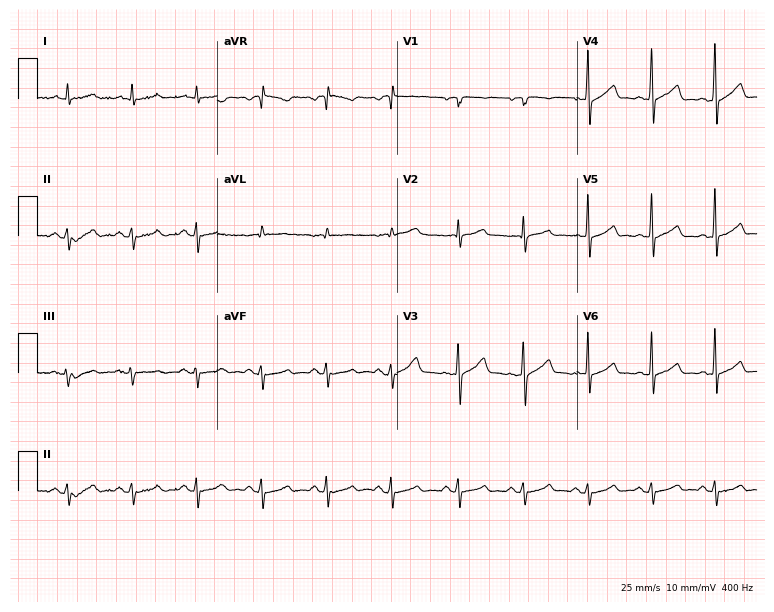
12-lead ECG from a 62-year-old man. Recorded interpretation: within normal limits.